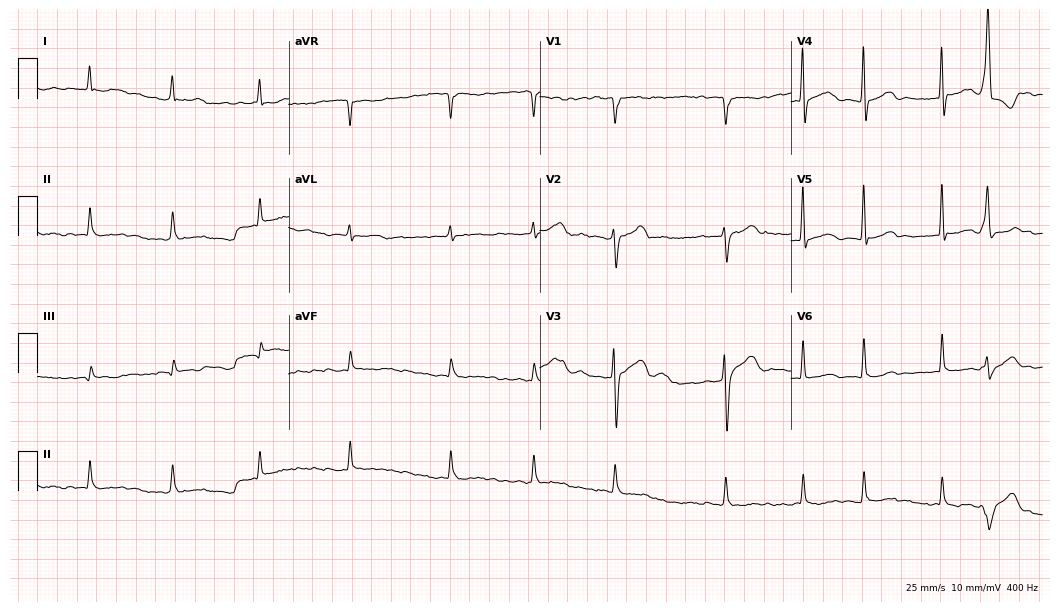
12-lead ECG from a man, 66 years old. No first-degree AV block, right bundle branch block, left bundle branch block, sinus bradycardia, atrial fibrillation or sinus tachycardia recorded for this tracing.